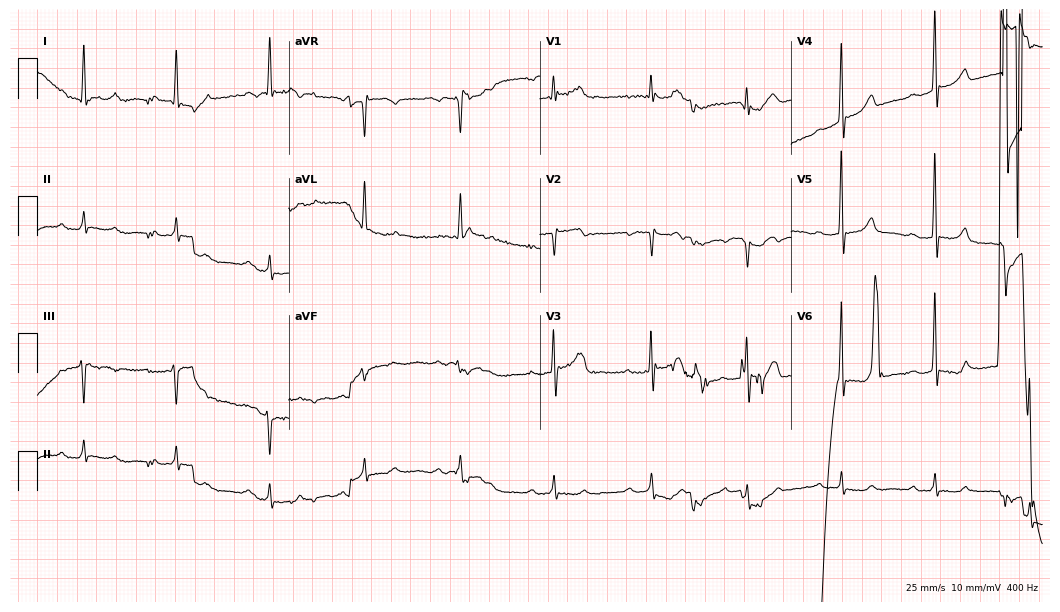
ECG — a 66-year-old man. Screened for six findings — first-degree AV block, right bundle branch block, left bundle branch block, sinus bradycardia, atrial fibrillation, sinus tachycardia — none is recorded.